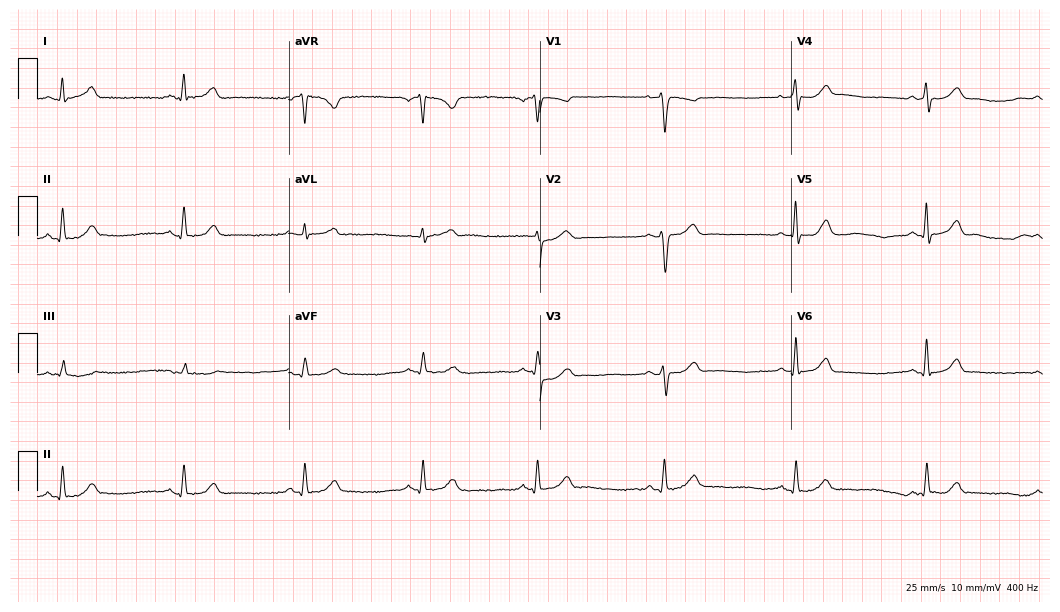
12-lead ECG from a 49-year-old man (10.2-second recording at 400 Hz). Shows sinus bradycardia (a sinus rate of 50 beats per minute or less).